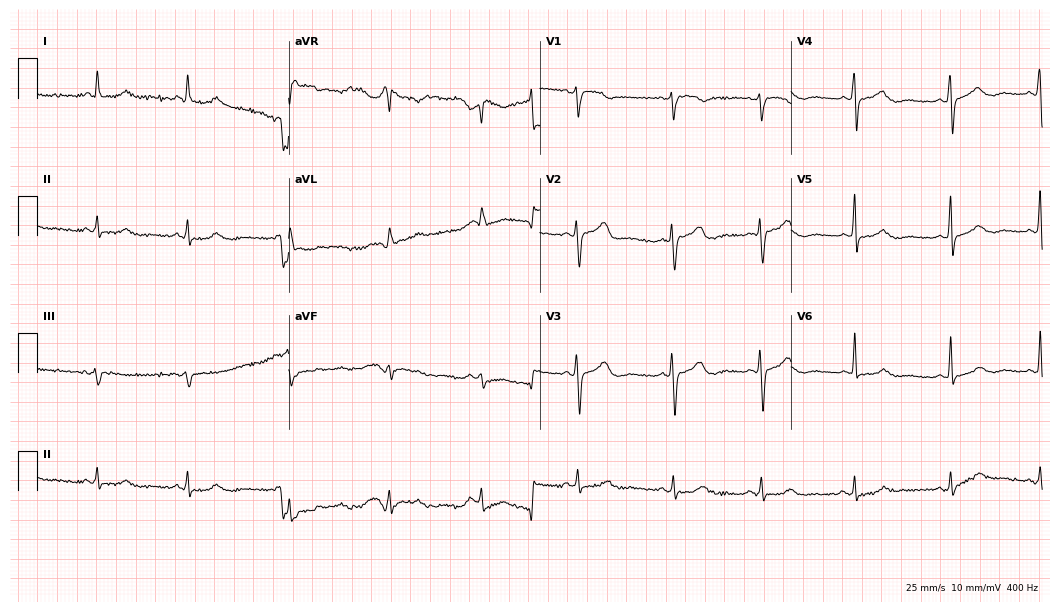
ECG (10.2-second recording at 400 Hz) — a 51-year-old female. Screened for six findings — first-degree AV block, right bundle branch block, left bundle branch block, sinus bradycardia, atrial fibrillation, sinus tachycardia — none is recorded. Findings outside these six are not listed.